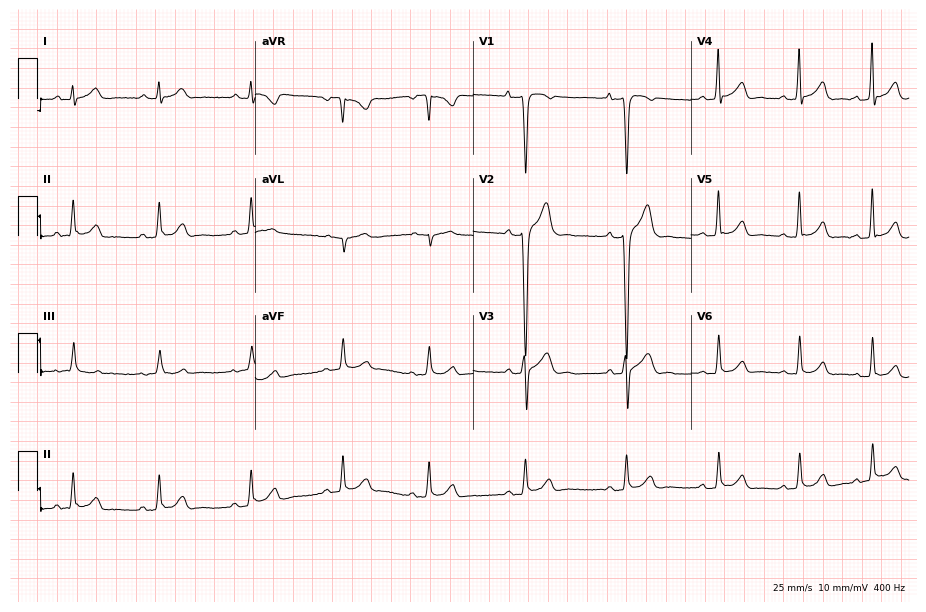
12-lead ECG from a 31-year-old male (8.9-second recording at 400 Hz). Recorded interpretation: within normal limits.